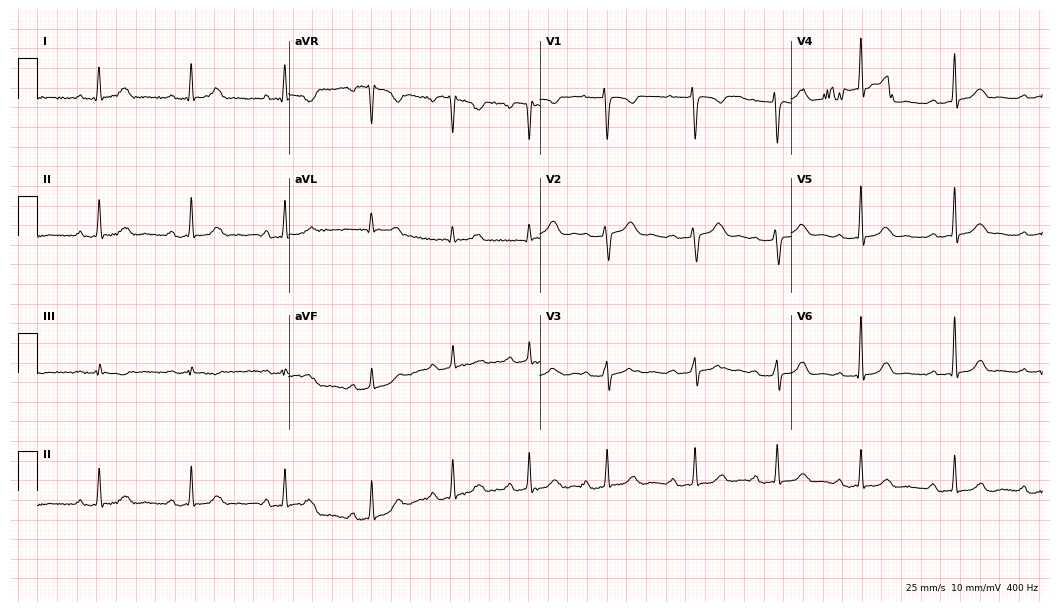
Resting 12-lead electrocardiogram. Patient: a woman, 34 years old. The tracing shows first-degree AV block.